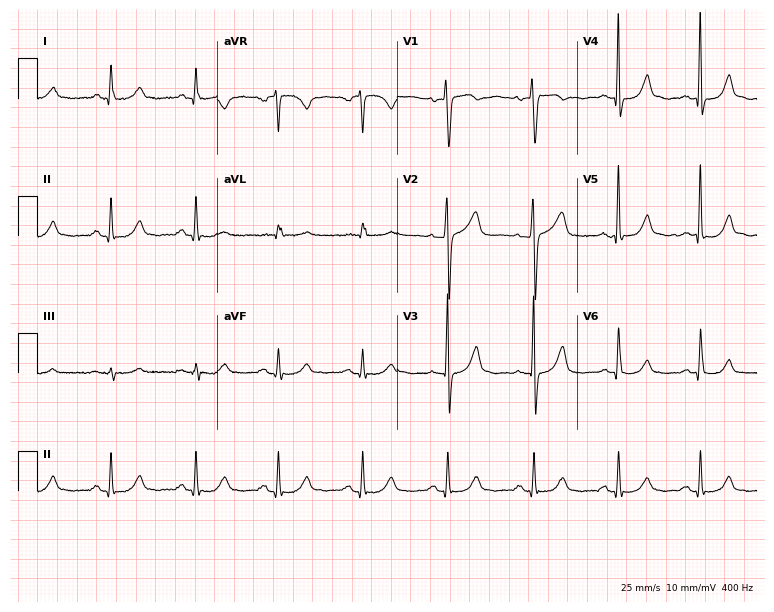
12-lead ECG from a female patient, 54 years old. Labelled as a normal ECG.